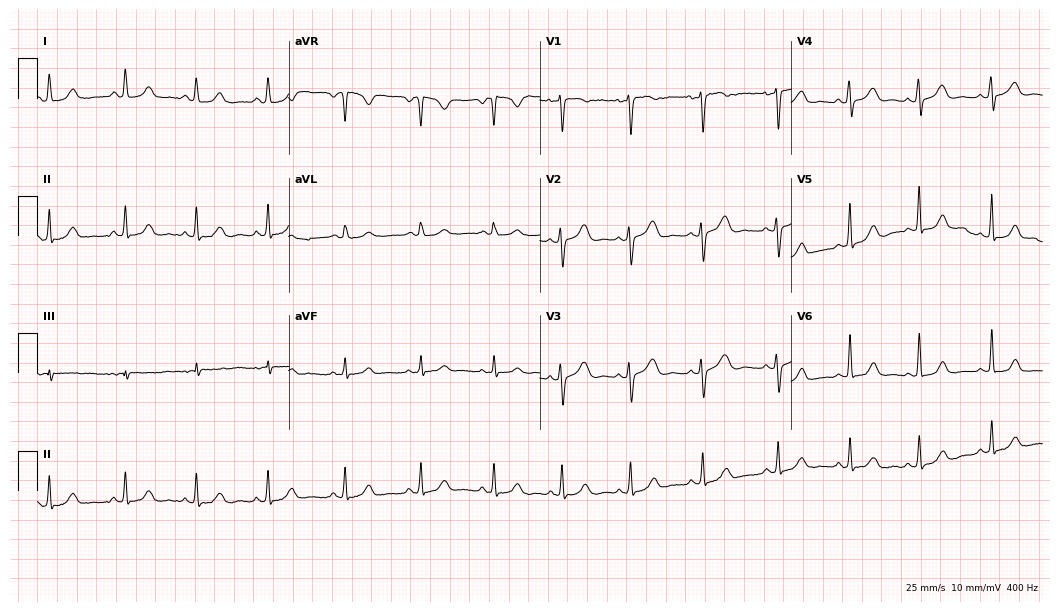
ECG — a 37-year-old female patient. Labelled as a normal ECG.